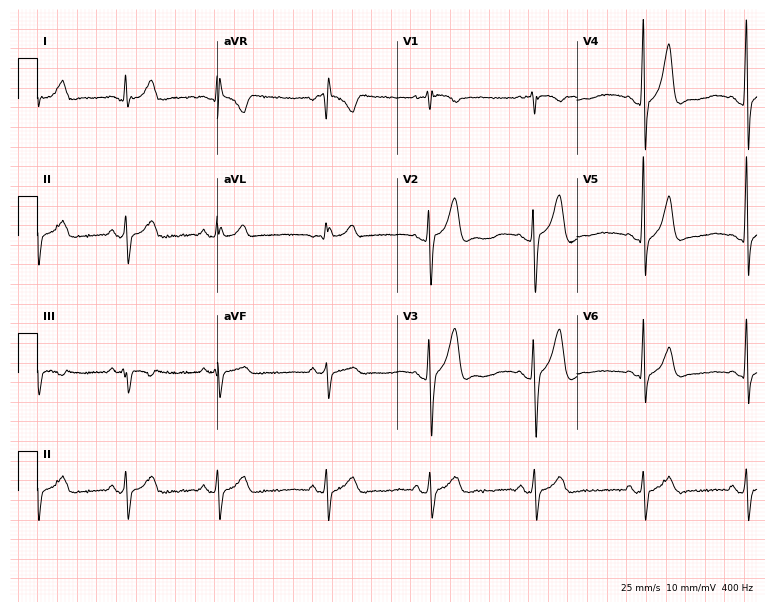
Standard 12-lead ECG recorded from a male patient, 22 years old (7.3-second recording at 400 Hz). None of these six findings is recorded: first-degree AV block, right bundle branch block (RBBB), left bundle branch block (LBBB), sinus bradycardia, atrial fibrillation (AF), sinus tachycardia.